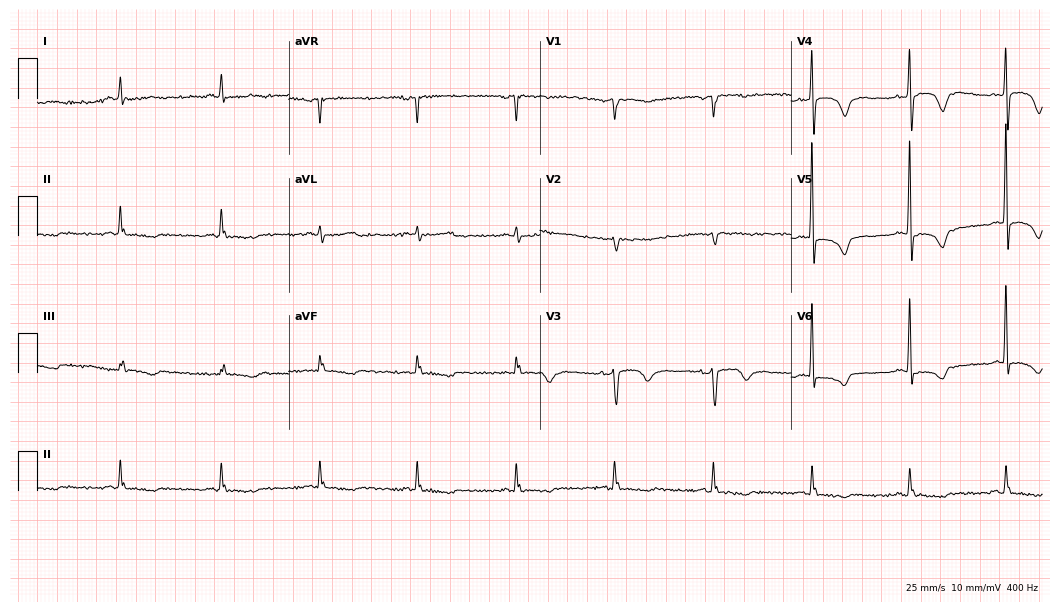
Standard 12-lead ECG recorded from an 80-year-old woman. None of these six findings is recorded: first-degree AV block, right bundle branch block, left bundle branch block, sinus bradycardia, atrial fibrillation, sinus tachycardia.